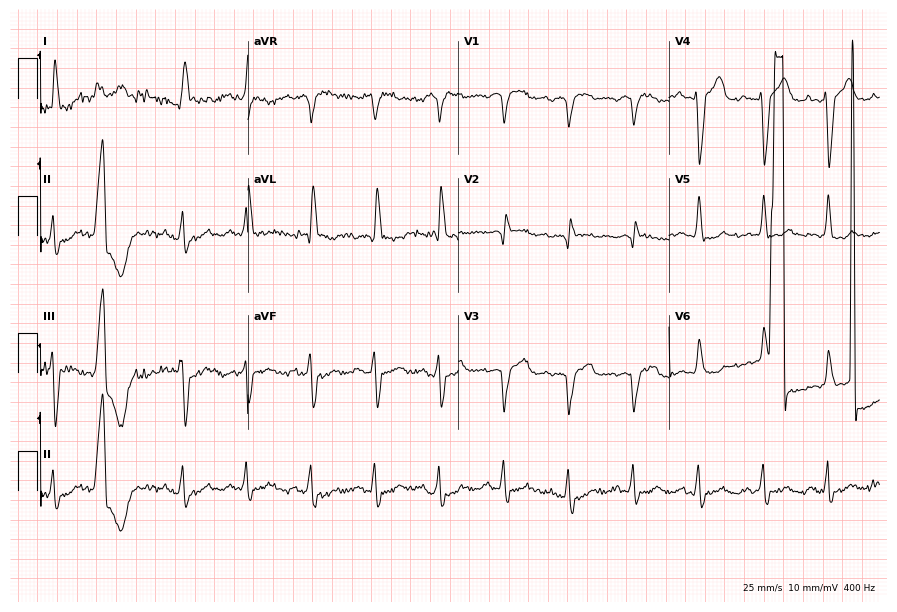
12-lead ECG from a 79-year-old female. No first-degree AV block, right bundle branch block, left bundle branch block, sinus bradycardia, atrial fibrillation or sinus tachycardia recorded for this tracing.